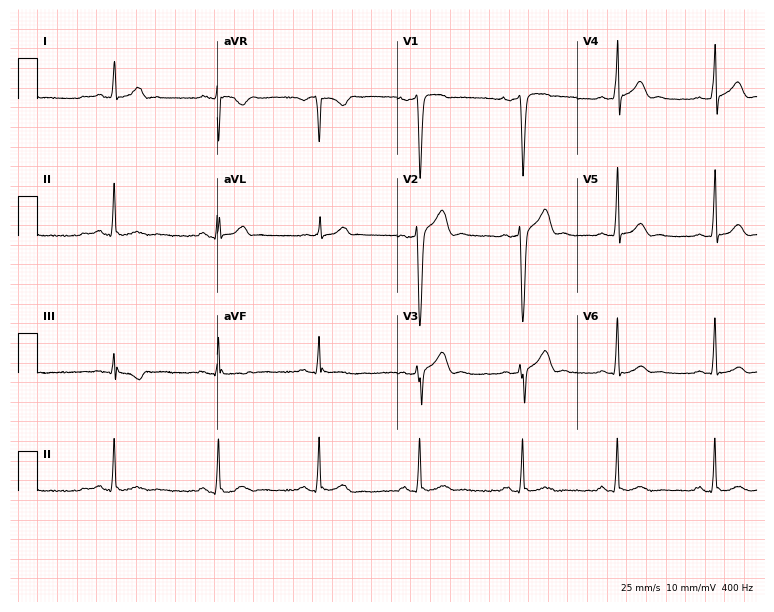
Resting 12-lead electrocardiogram (7.3-second recording at 400 Hz). Patient: a male, 35 years old. None of these six findings is recorded: first-degree AV block, right bundle branch block (RBBB), left bundle branch block (LBBB), sinus bradycardia, atrial fibrillation (AF), sinus tachycardia.